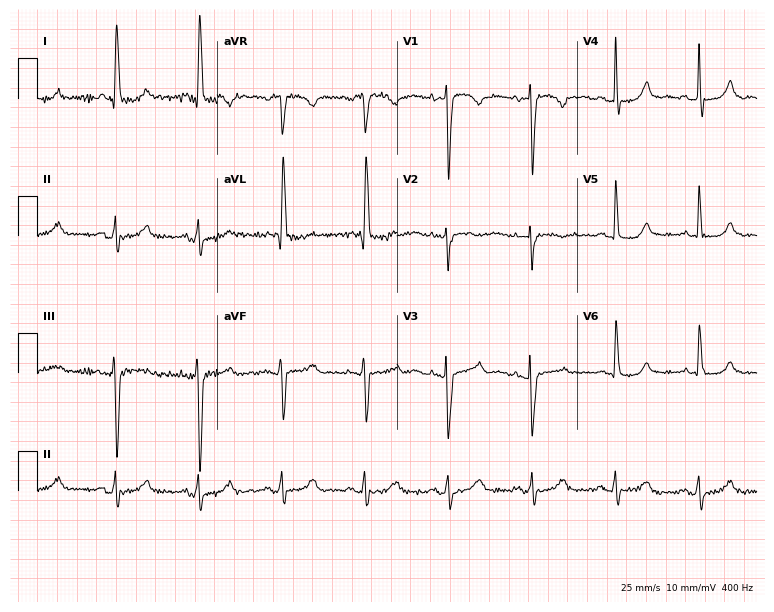
12-lead ECG from a woman, 63 years old. No first-degree AV block, right bundle branch block (RBBB), left bundle branch block (LBBB), sinus bradycardia, atrial fibrillation (AF) or sinus tachycardia recorded for this tracing.